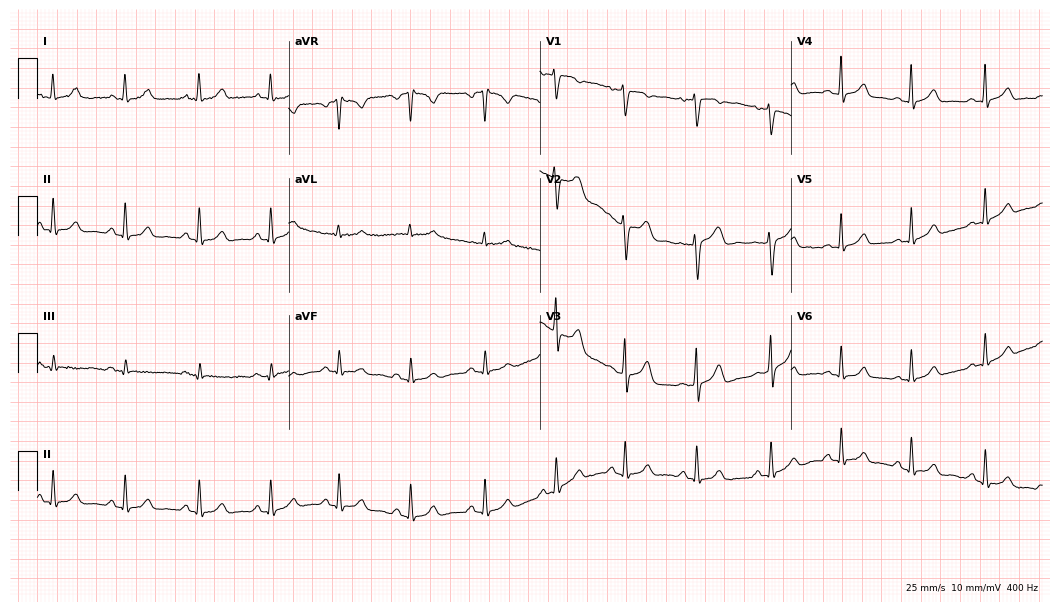
Electrocardiogram, a woman, 20 years old. Overall reading on record: normal ECG.